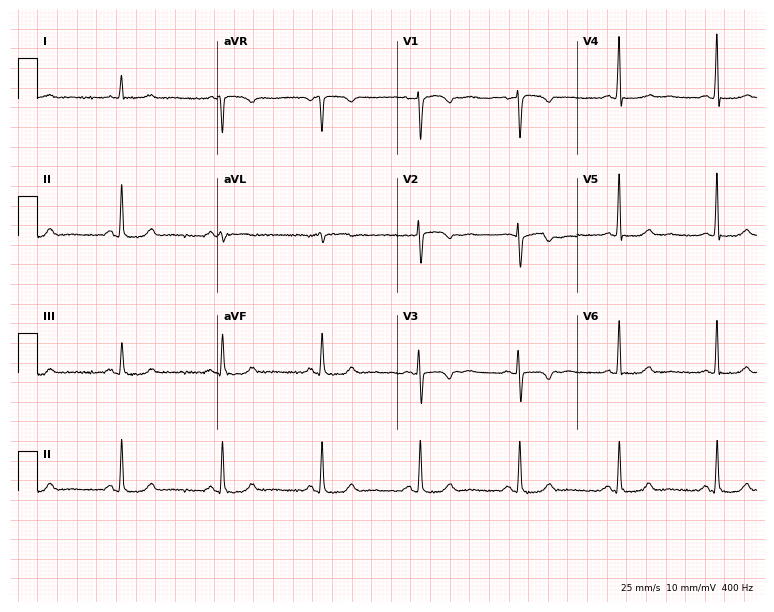
Standard 12-lead ECG recorded from a female patient, 63 years old (7.3-second recording at 400 Hz). None of these six findings is recorded: first-degree AV block, right bundle branch block (RBBB), left bundle branch block (LBBB), sinus bradycardia, atrial fibrillation (AF), sinus tachycardia.